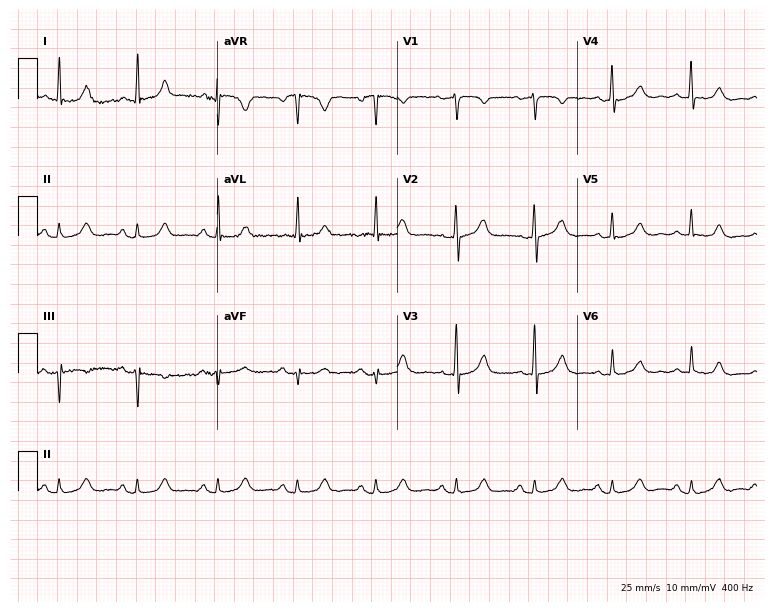
Resting 12-lead electrocardiogram (7.3-second recording at 400 Hz). Patient: a female, 63 years old. Read as a normal ECG.